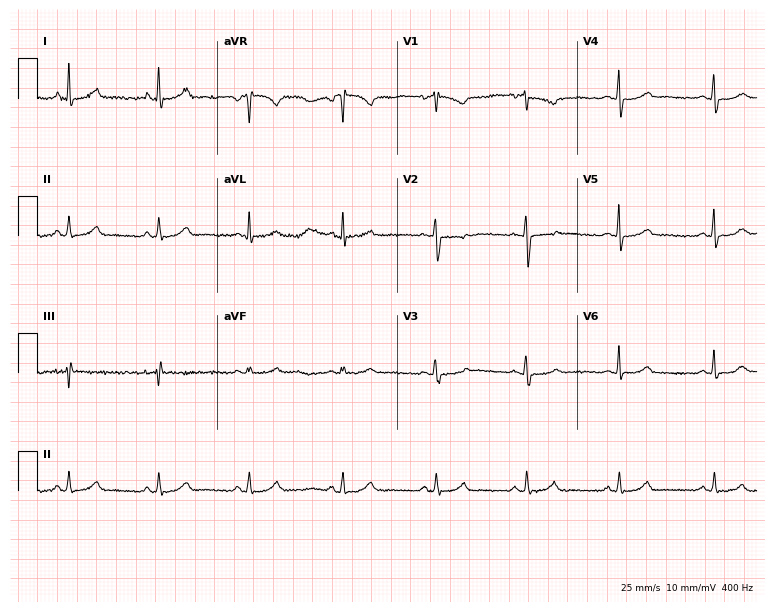
12-lead ECG from a 53-year-old woman (7.3-second recording at 400 Hz). Recorded interpretation: within normal limits.